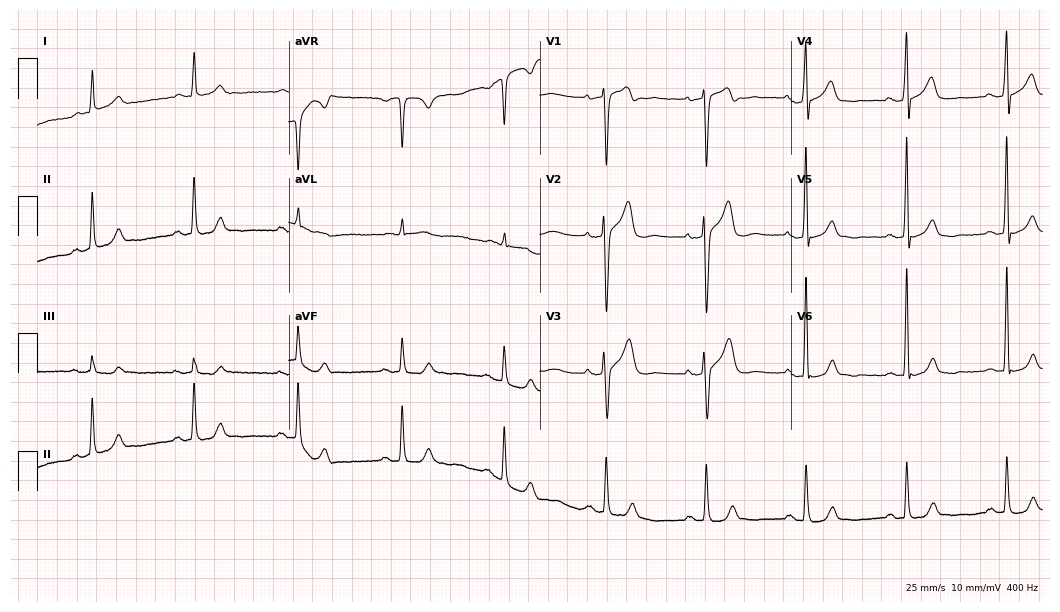
ECG (10.2-second recording at 400 Hz) — a male, 61 years old. Labelled as a normal ECG.